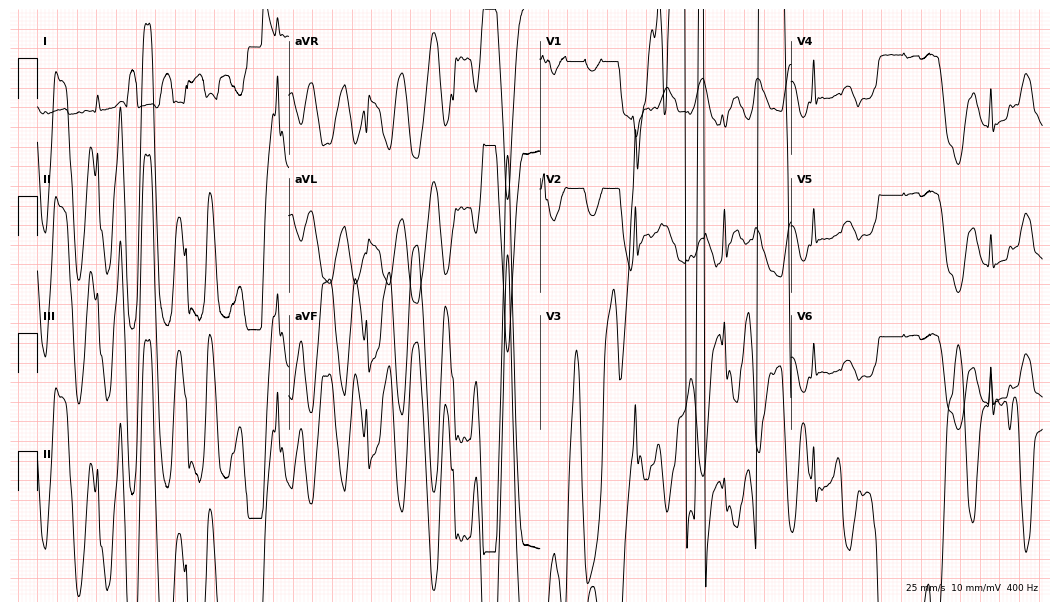
Standard 12-lead ECG recorded from a male patient, 19 years old (10.2-second recording at 400 Hz). None of these six findings is recorded: first-degree AV block, right bundle branch block, left bundle branch block, sinus bradycardia, atrial fibrillation, sinus tachycardia. Findings outside these six are not listed.